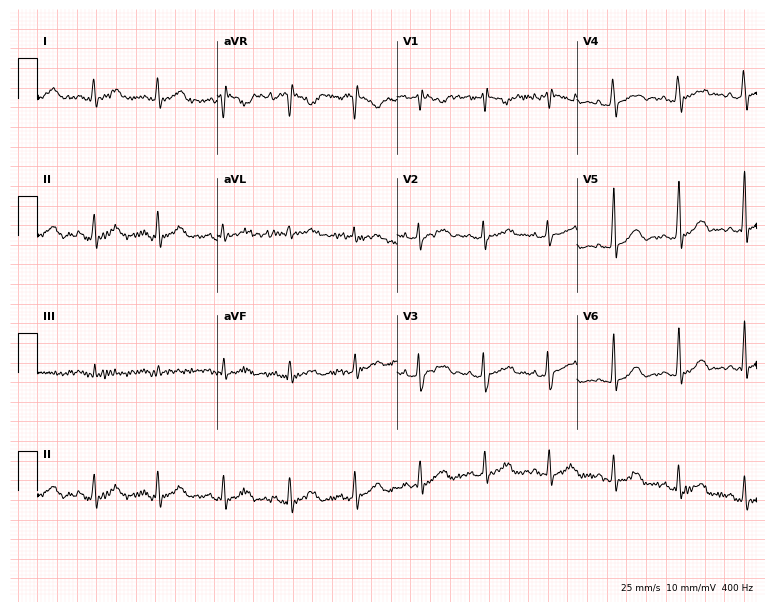
12-lead ECG from a female patient, 32 years old. No first-degree AV block, right bundle branch block, left bundle branch block, sinus bradycardia, atrial fibrillation or sinus tachycardia recorded for this tracing. Other findings, if any, are not listed.